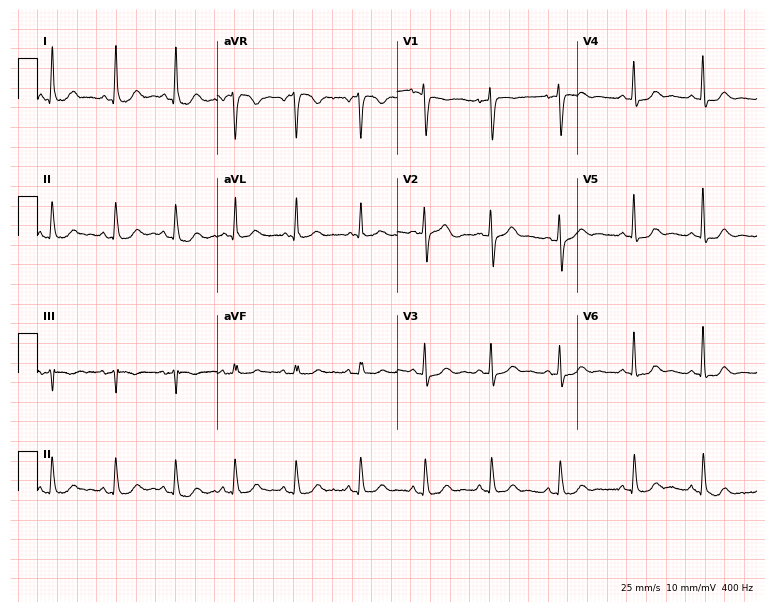
Resting 12-lead electrocardiogram (7.3-second recording at 400 Hz). Patient: a 52-year-old woman. None of these six findings is recorded: first-degree AV block, right bundle branch block (RBBB), left bundle branch block (LBBB), sinus bradycardia, atrial fibrillation (AF), sinus tachycardia.